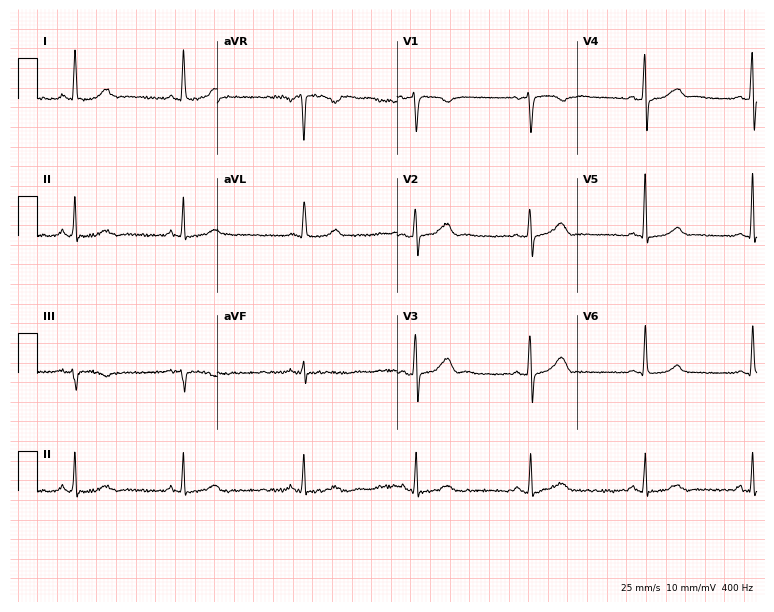
Resting 12-lead electrocardiogram. Patient: a 50-year-old woman. Read as a normal ECG.